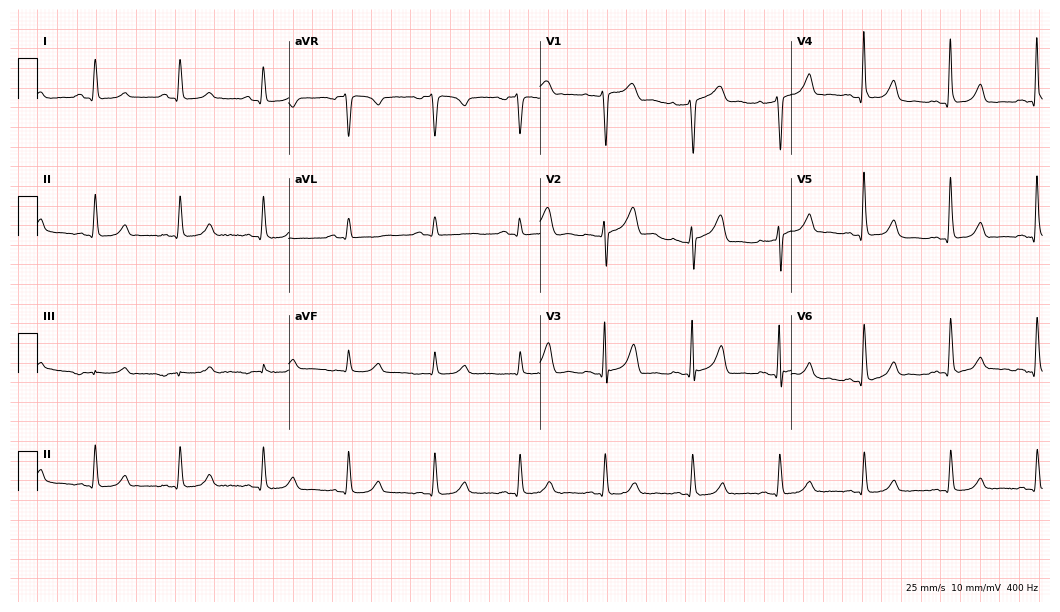
ECG — a 60-year-old woman. Labelled as a normal ECG.